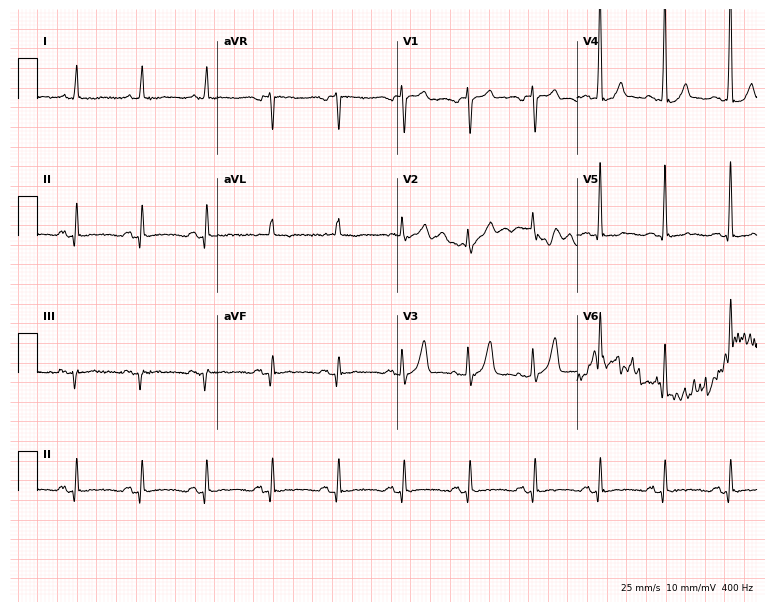
ECG (7.3-second recording at 400 Hz) — a man, 81 years old. Screened for six findings — first-degree AV block, right bundle branch block, left bundle branch block, sinus bradycardia, atrial fibrillation, sinus tachycardia — none is recorded.